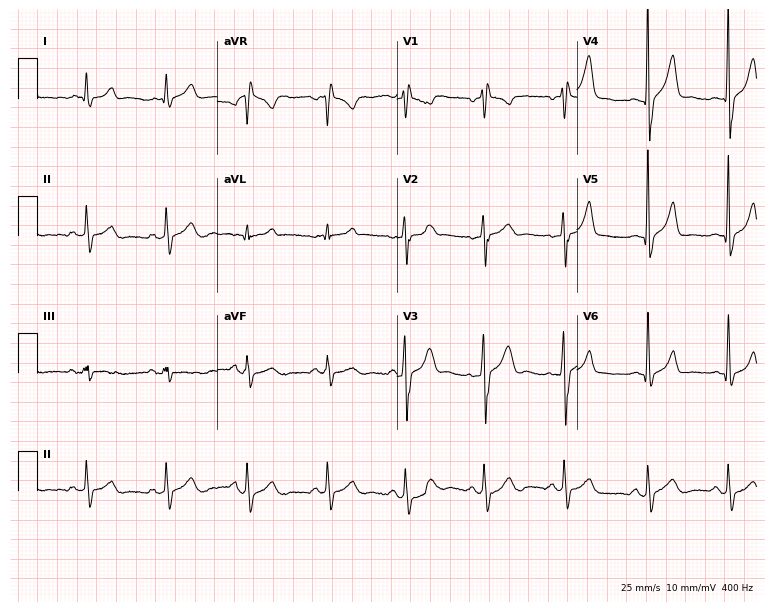
12-lead ECG (7.3-second recording at 400 Hz) from a male, 31 years old. Screened for six findings — first-degree AV block, right bundle branch block, left bundle branch block, sinus bradycardia, atrial fibrillation, sinus tachycardia — none is recorded. Findings outside these six are not listed.